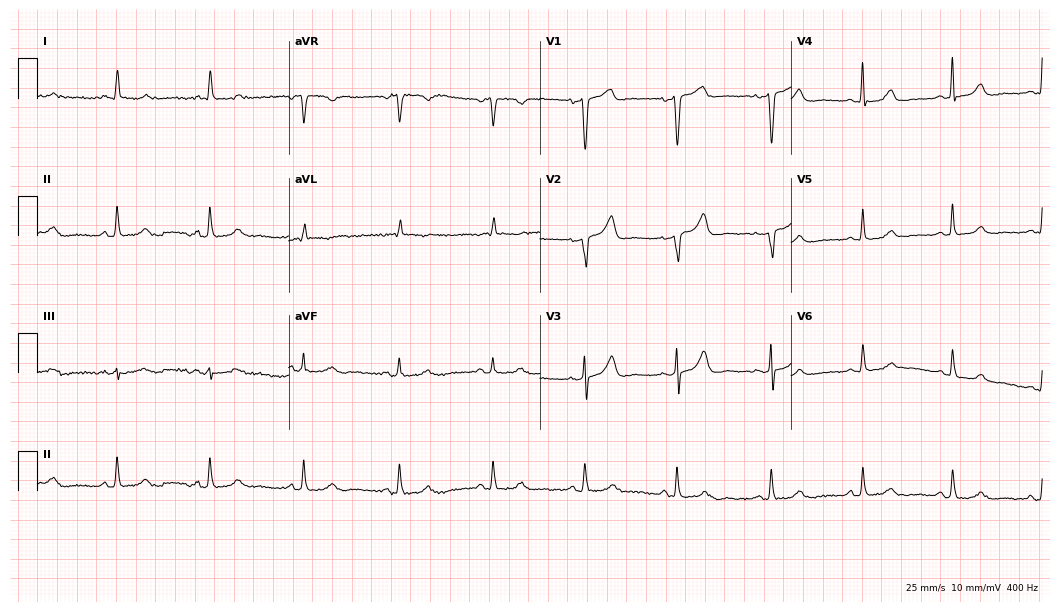
Electrocardiogram, a female, 74 years old. Overall reading on record: normal ECG.